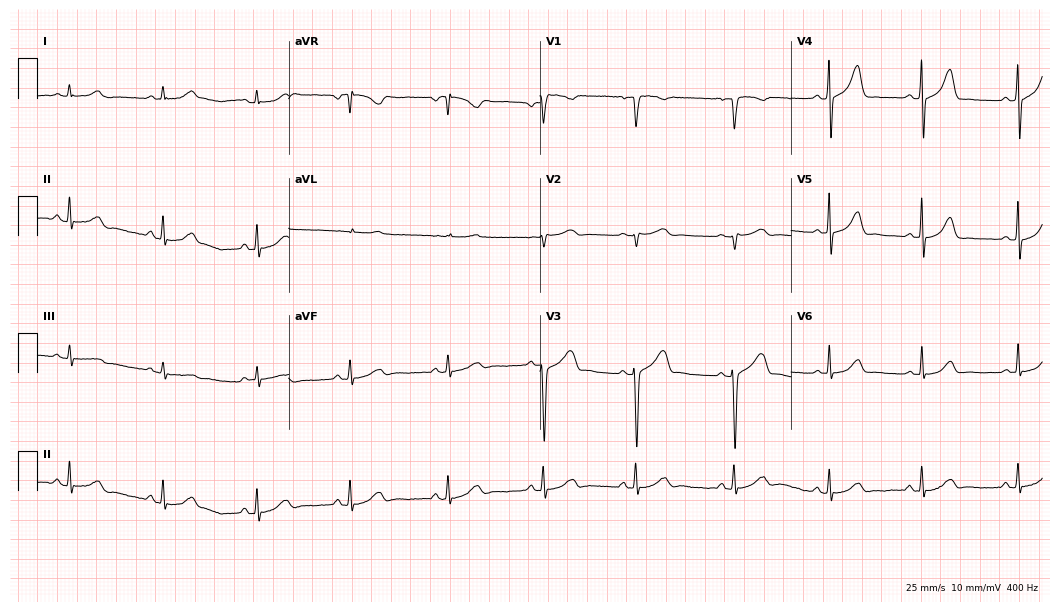
Resting 12-lead electrocardiogram. Patient: an 18-year-old female. Read as a normal ECG.